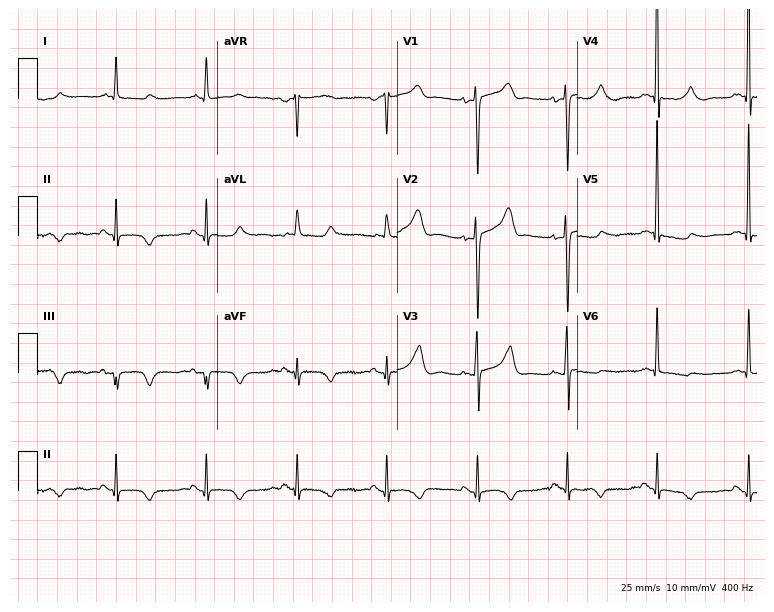
Electrocardiogram (7.3-second recording at 400 Hz), a female patient, 76 years old. Of the six screened findings (first-degree AV block, right bundle branch block (RBBB), left bundle branch block (LBBB), sinus bradycardia, atrial fibrillation (AF), sinus tachycardia), none is recorded. Only these six findings were labelled.